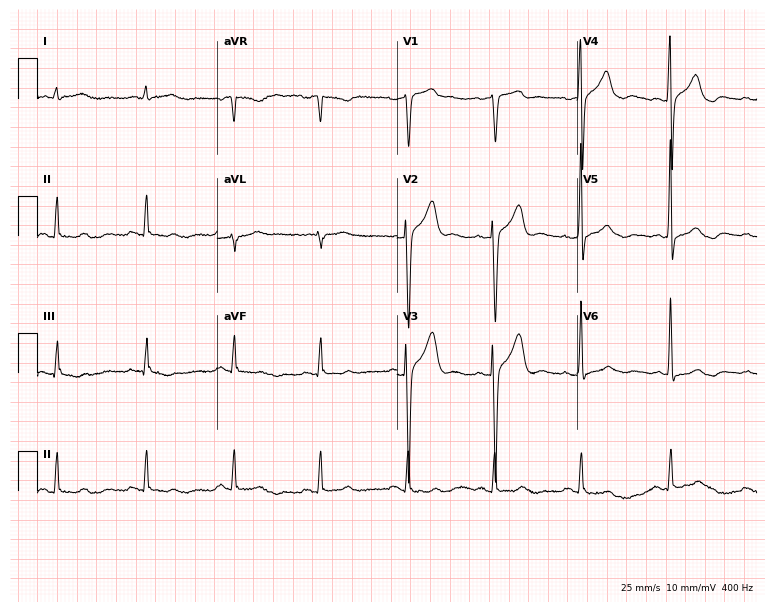
12-lead ECG from a 56-year-old male patient (7.3-second recording at 400 Hz). Recorded interpretation: within normal limits.